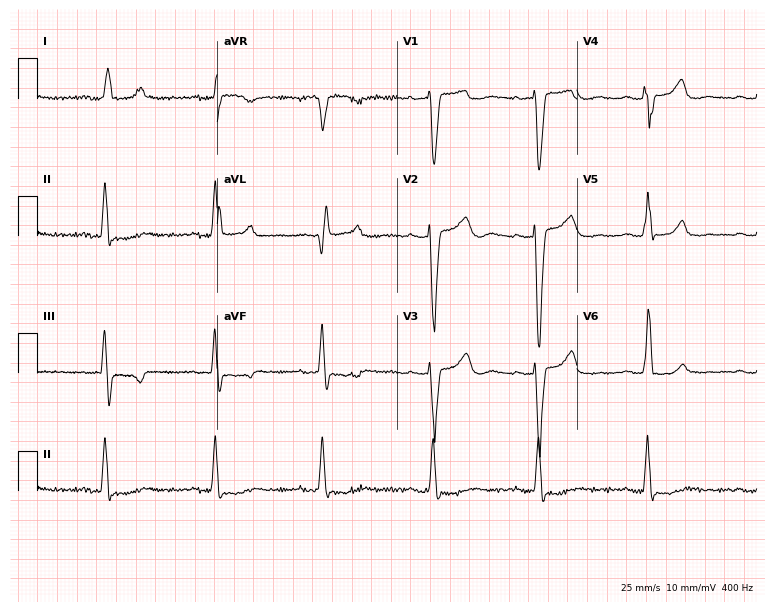
12-lead ECG from a female, 69 years old. No first-degree AV block, right bundle branch block, left bundle branch block, sinus bradycardia, atrial fibrillation or sinus tachycardia recorded for this tracing. Findings outside these six are not listed.